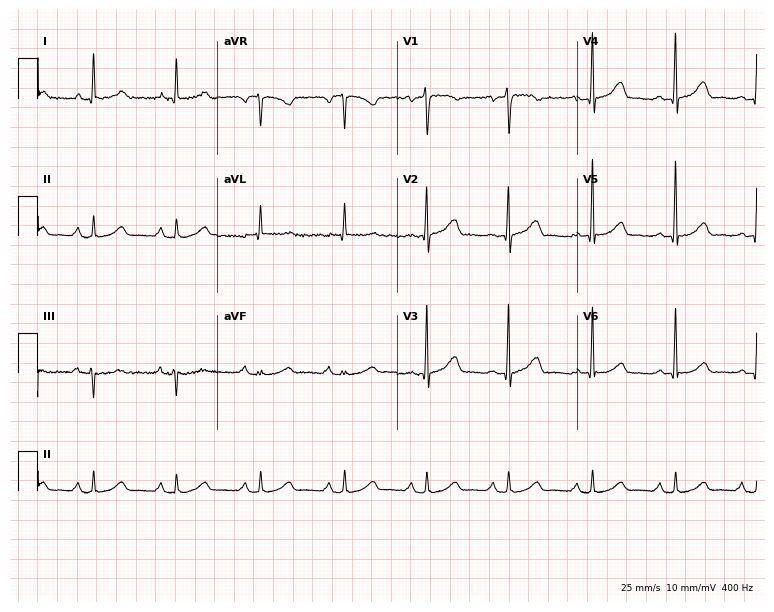
Standard 12-lead ECG recorded from a female, 60 years old. Read as a normal ECG.